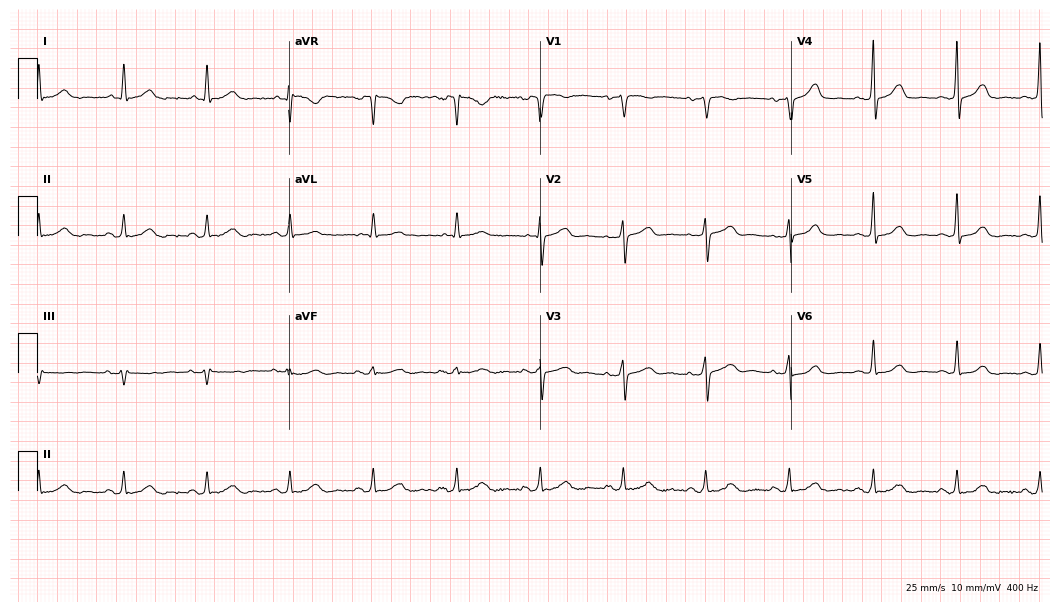
Standard 12-lead ECG recorded from a woman, 62 years old. None of these six findings is recorded: first-degree AV block, right bundle branch block, left bundle branch block, sinus bradycardia, atrial fibrillation, sinus tachycardia. Findings outside these six are not listed.